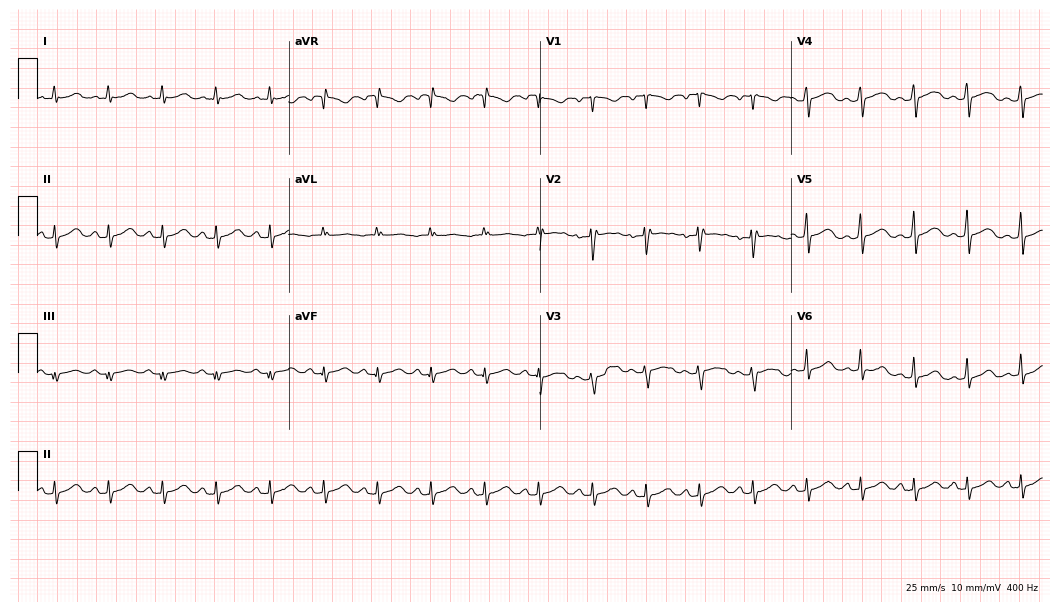
12-lead ECG from a 28-year-old female patient (10.2-second recording at 400 Hz). No first-degree AV block, right bundle branch block (RBBB), left bundle branch block (LBBB), sinus bradycardia, atrial fibrillation (AF) or sinus tachycardia recorded for this tracing.